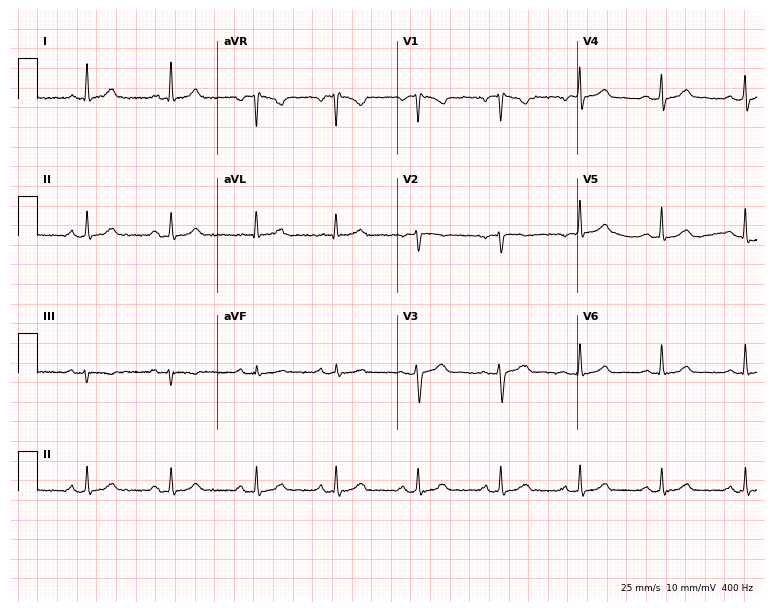
12-lead ECG (7.3-second recording at 400 Hz) from a 41-year-old female patient. Screened for six findings — first-degree AV block, right bundle branch block, left bundle branch block, sinus bradycardia, atrial fibrillation, sinus tachycardia — none is recorded. Findings outside these six are not listed.